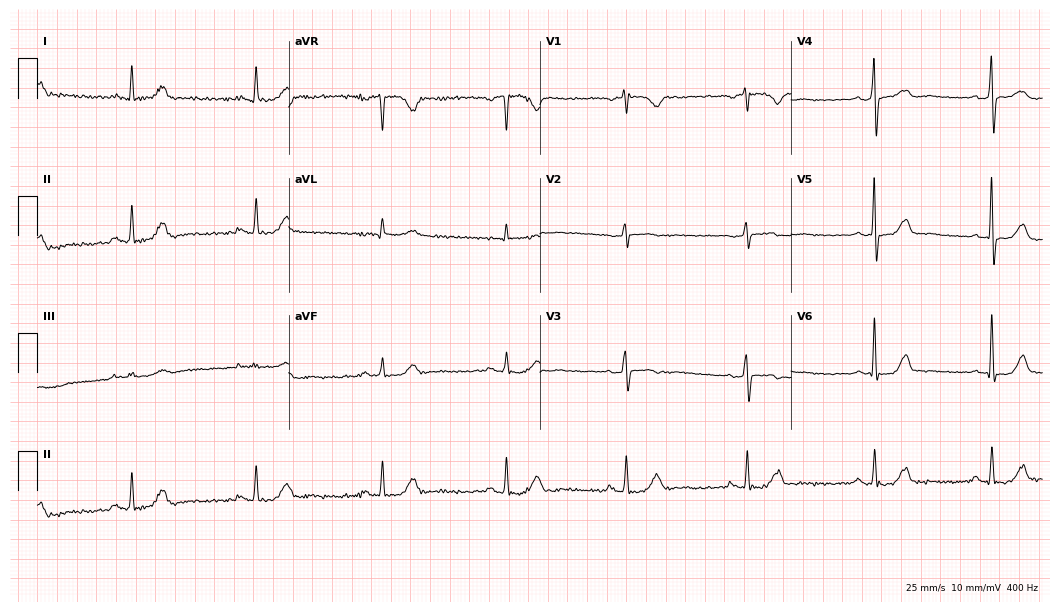
Electrocardiogram, a 60-year-old woman. Overall reading on record: normal ECG.